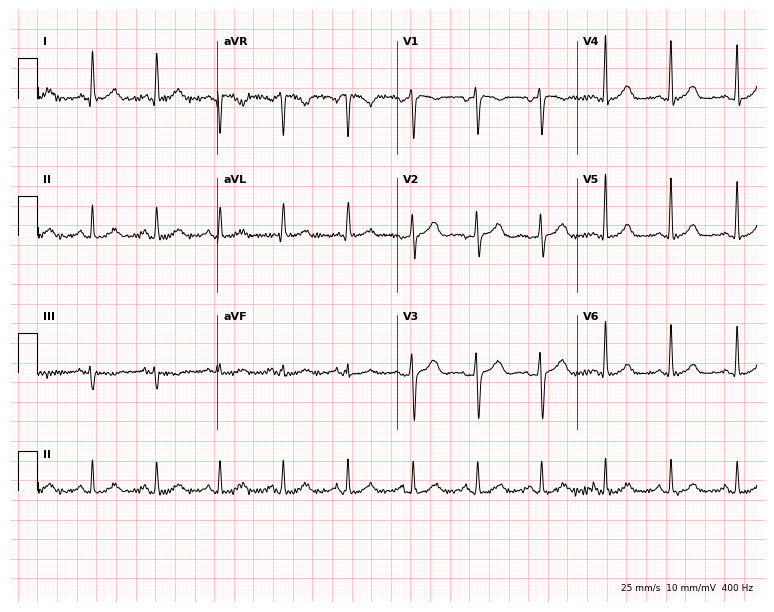
Standard 12-lead ECG recorded from a male patient, 47 years old. Read as a normal ECG.